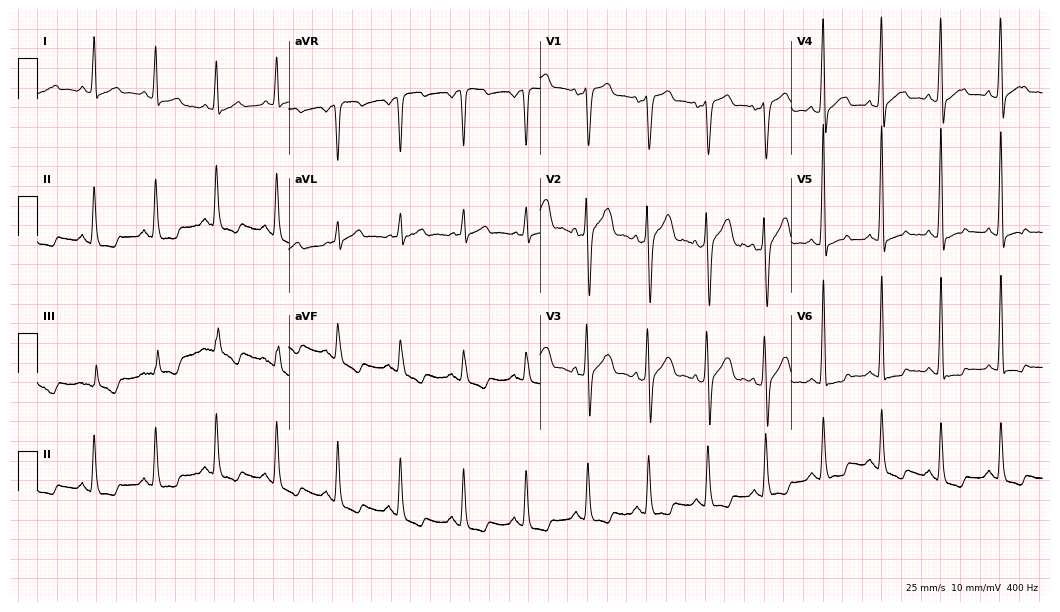
Standard 12-lead ECG recorded from a male patient, 48 years old (10.2-second recording at 400 Hz). Read as a normal ECG.